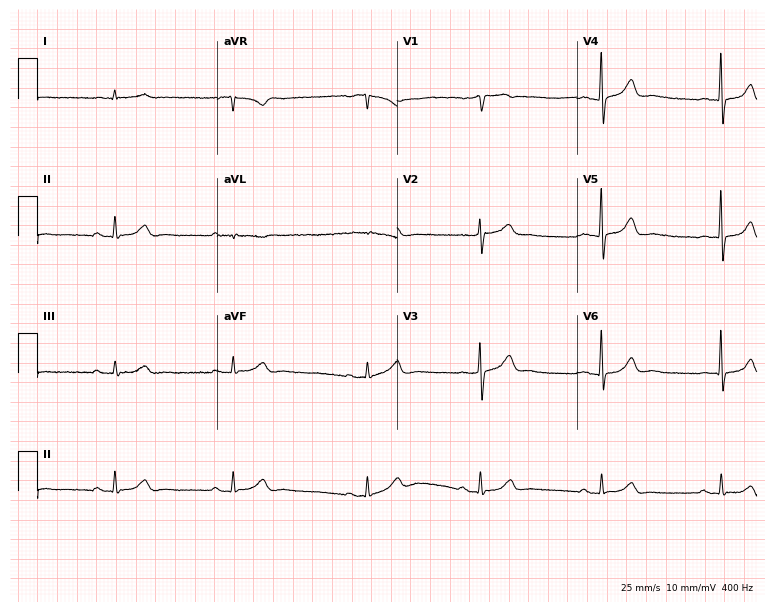
12-lead ECG (7.3-second recording at 400 Hz) from a 69-year-old male. Findings include sinus bradycardia (a sinus rate of 50 beats per minute or less).